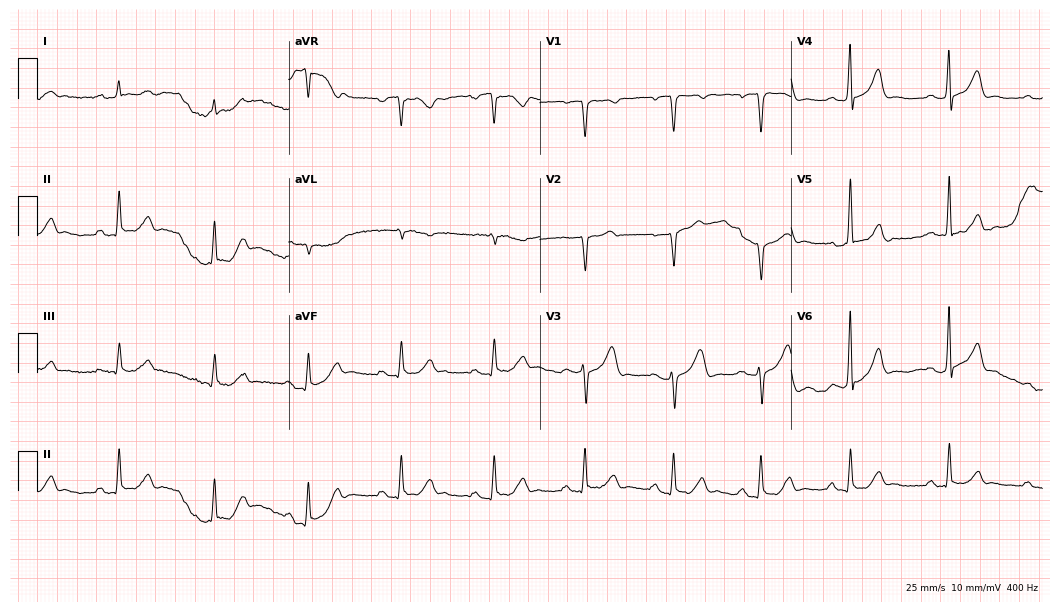
Standard 12-lead ECG recorded from a man, 61 years old (10.2-second recording at 400 Hz). The tracing shows first-degree AV block.